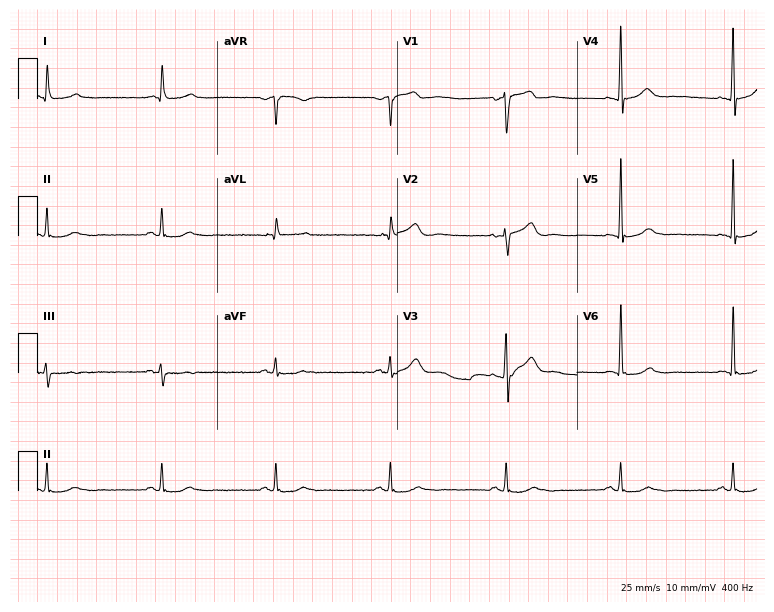
12-lead ECG (7.3-second recording at 400 Hz) from a male, 57 years old. Screened for six findings — first-degree AV block, right bundle branch block, left bundle branch block, sinus bradycardia, atrial fibrillation, sinus tachycardia — none is recorded. Only these six findings were labelled.